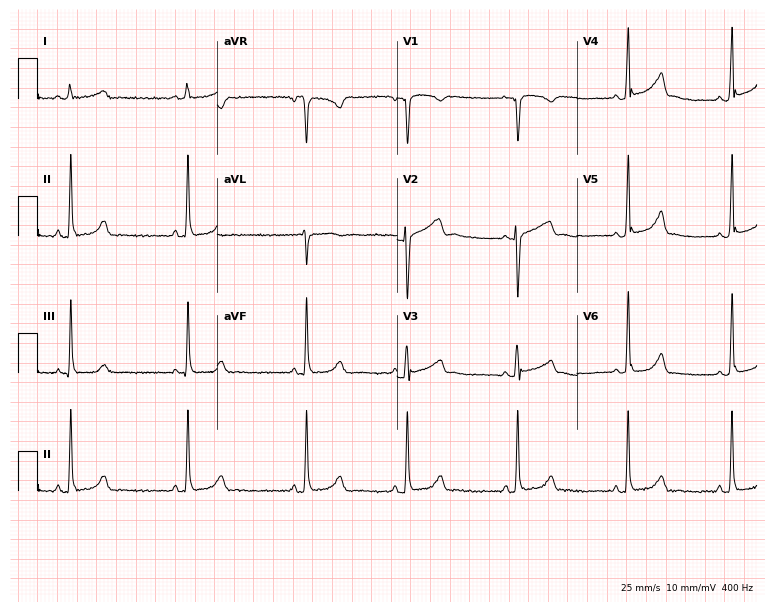
Electrocardiogram, a female, 17 years old. Of the six screened findings (first-degree AV block, right bundle branch block (RBBB), left bundle branch block (LBBB), sinus bradycardia, atrial fibrillation (AF), sinus tachycardia), none is recorded. Other findings, if any, are not listed.